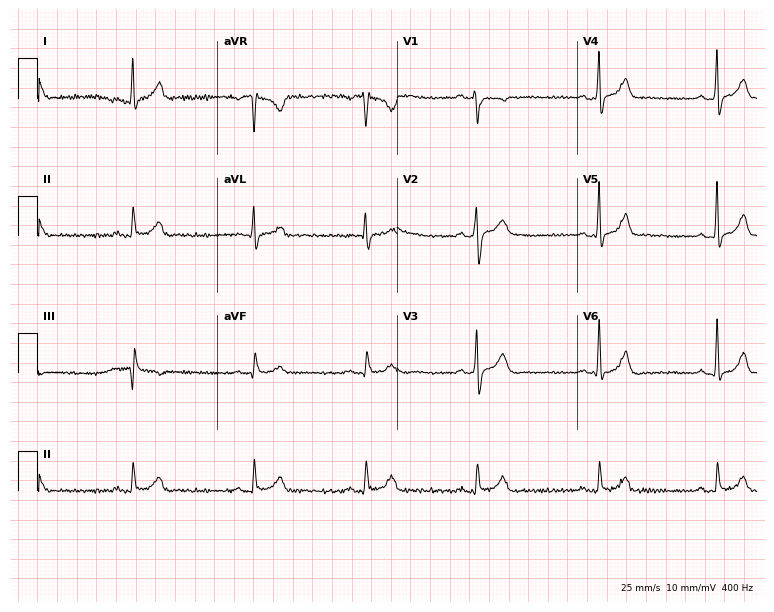
Standard 12-lead ECG recorded from a male patient, 28 years old. Read as a normal ECG.